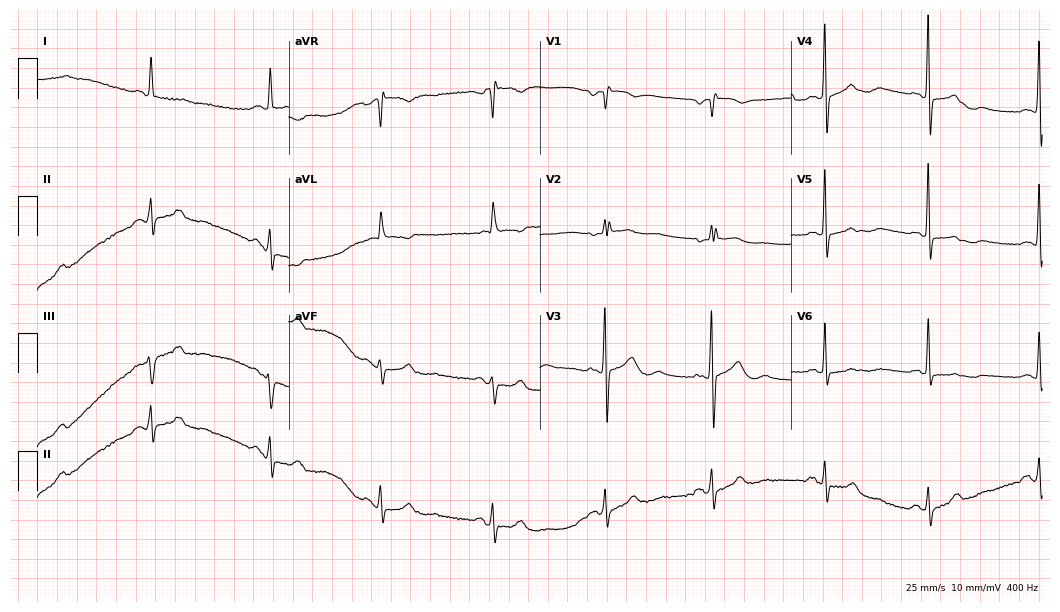
ECG (10.2-second recording at 400 Hz) — a 67-year-old female patient. Screened for six findings — first-degree AV block, right bundle branch block (RBBB), left bundle branch block (LBBB), sinus bradycardia, atrial fibrillation (AF), sinus tachycardia — none is recorded.